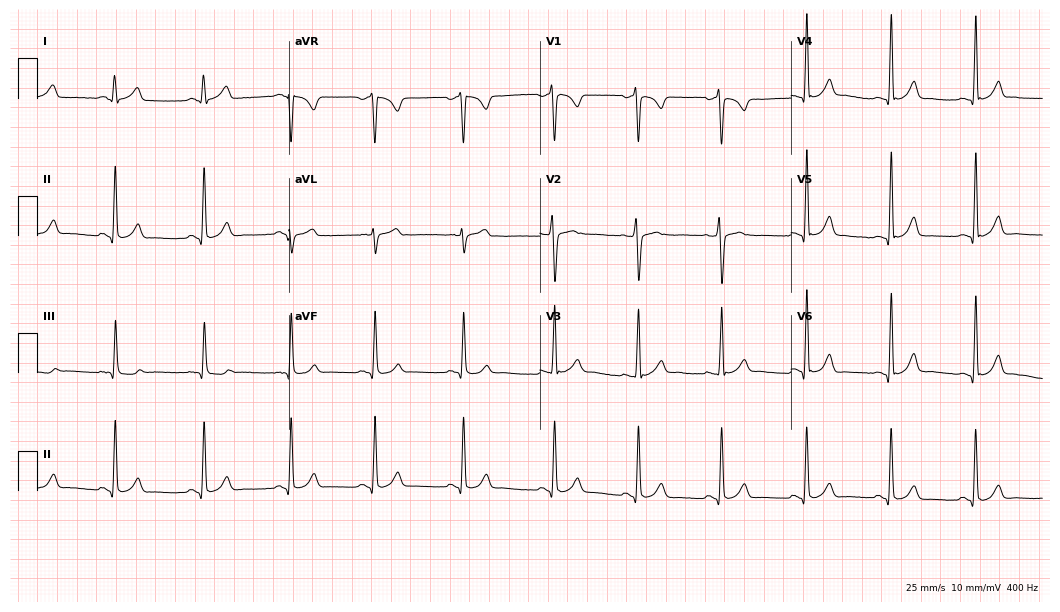
Resting 12-lead electrocardiogram (10.2-second recording at 400 Hz). Patient: a 17-year-old woman. Read as a normal ECG.